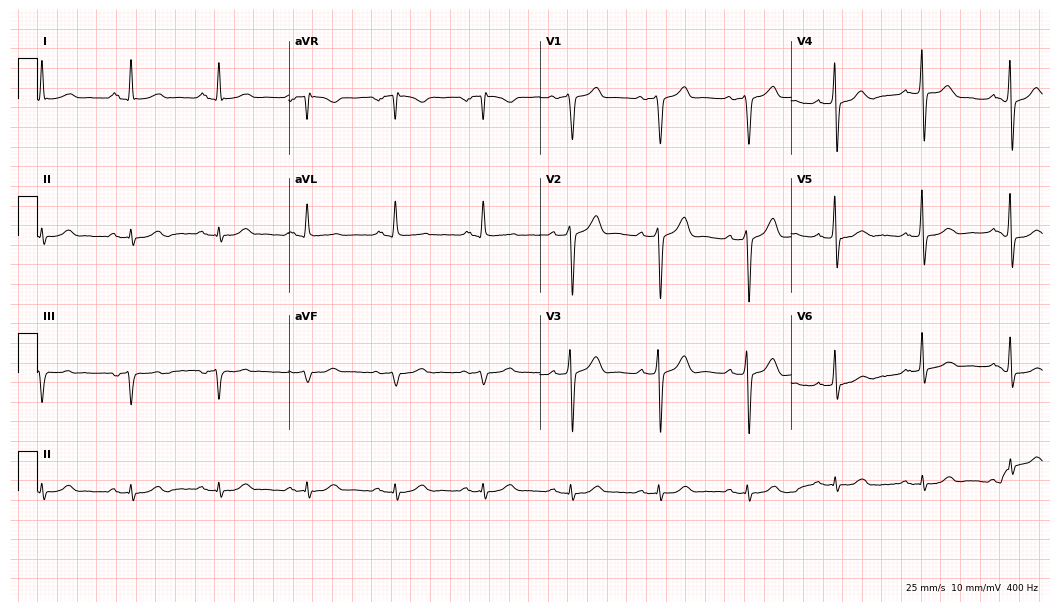
ECG (10.2-second recording at 400 Hz) — a man, 60 years old. Labelled as a normal ECG.